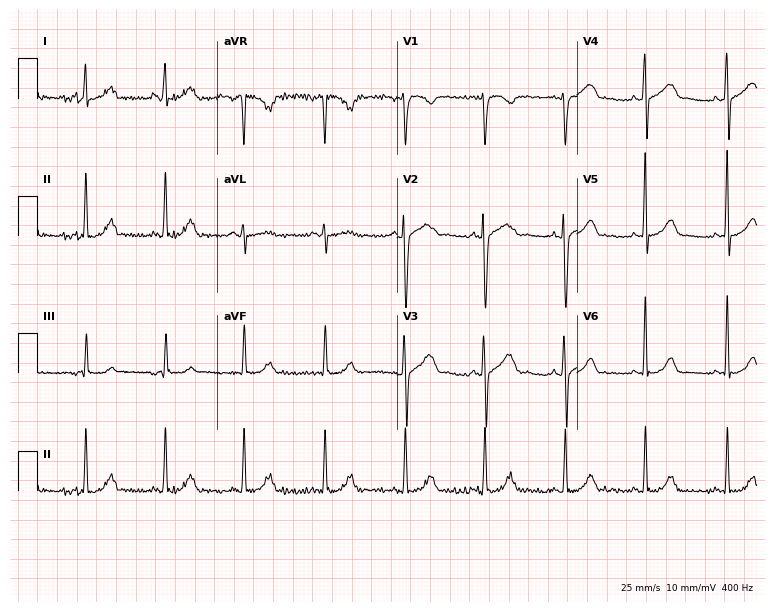
12-lead ECG from a female patient, 19 years old. Labelled as a normal ECG.